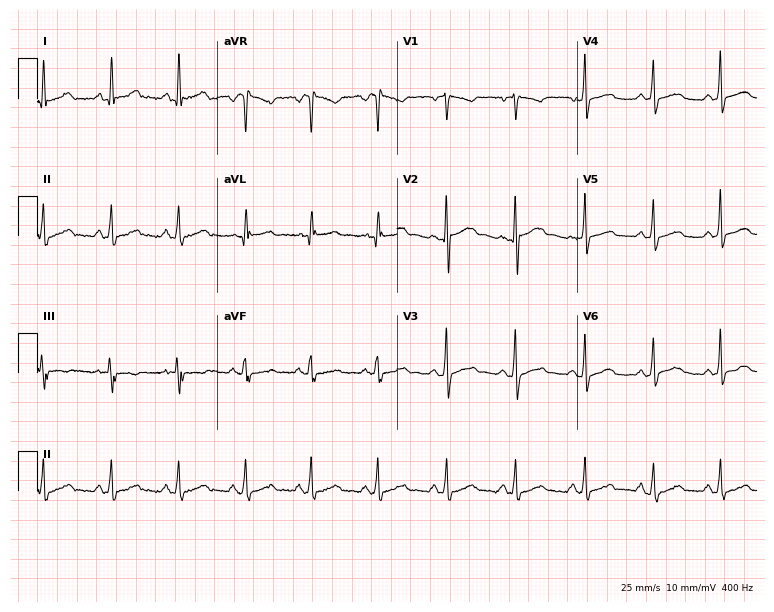
Standard 12-lead ECG recorded from a 34-year-old woman. Read as a normal ECG.